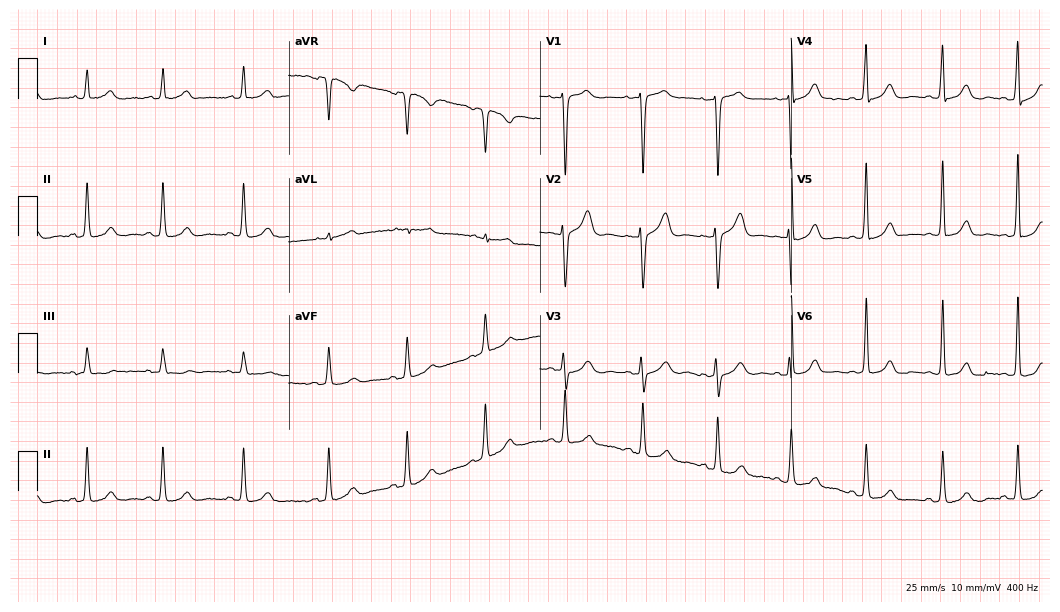
12-lead ECG (10.2-second recording at 400 Hz) from a 35-year-old woman. Labelled as a normal ECG.